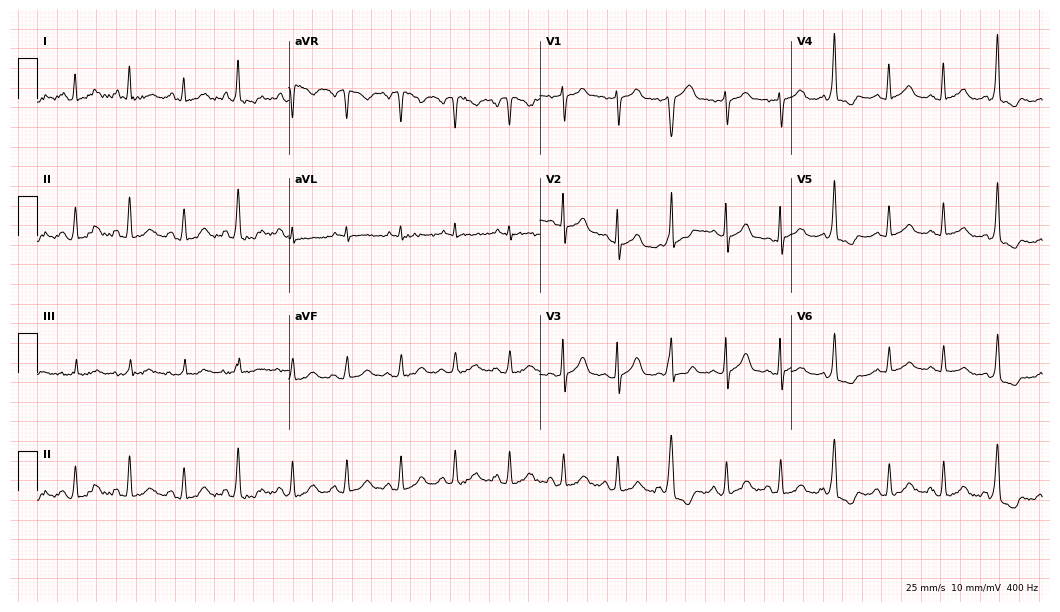
ECG (10.2-second recording at 400 Hz) — a 66-year-old female. Screened for six findings — first-degree AV block, right bundle branch block (RBBB), left bundle branch block (LBBB), sinus bradycardia, atrial fibrillation (AF), sinus tachycardia — none is recorded. Other findings, if any, are not listed.